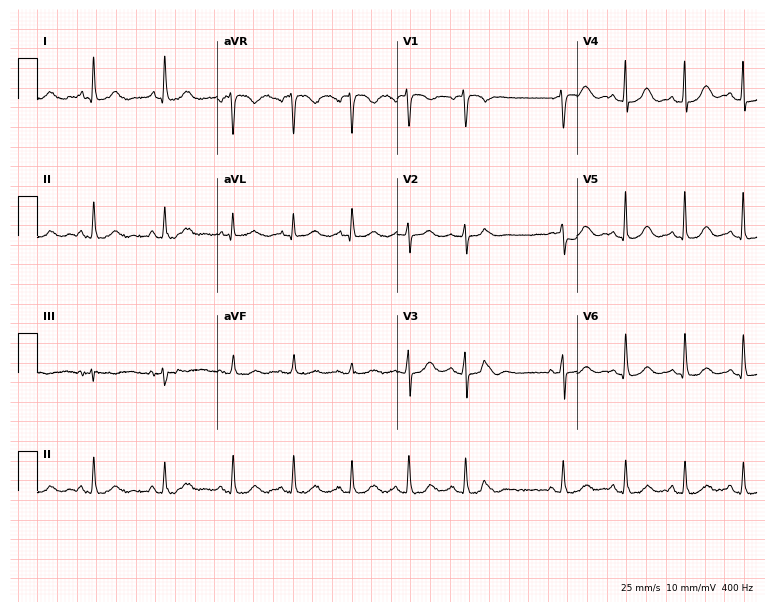
Electrocardiogram, a 73-year-old female patient. Overall reading on record: normal ECG.